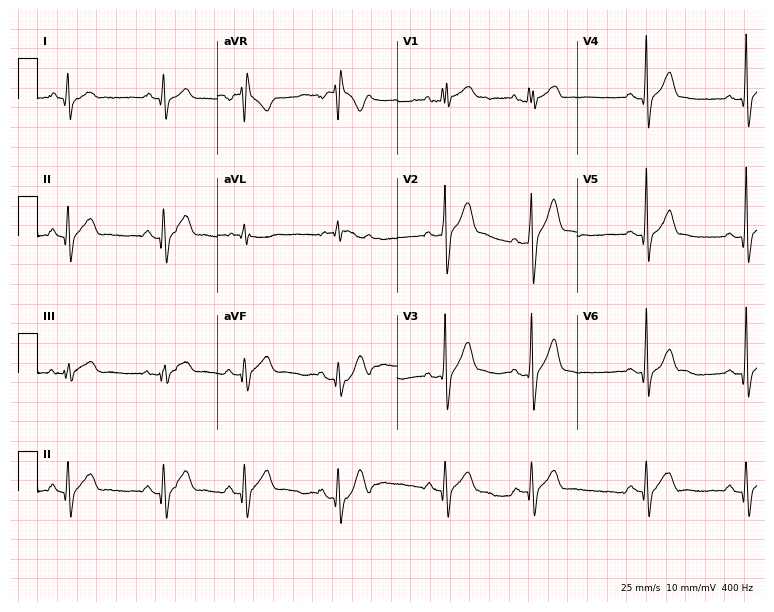
ECG (7.3-second recording at 400 Hz) — a 21-year-old male. Screened for six findings — first-degree AV block, right bundle branch block, left bundle branch block, sinus bradycardia, atrial fibrillation, sinus tachycardia — none is recorded.